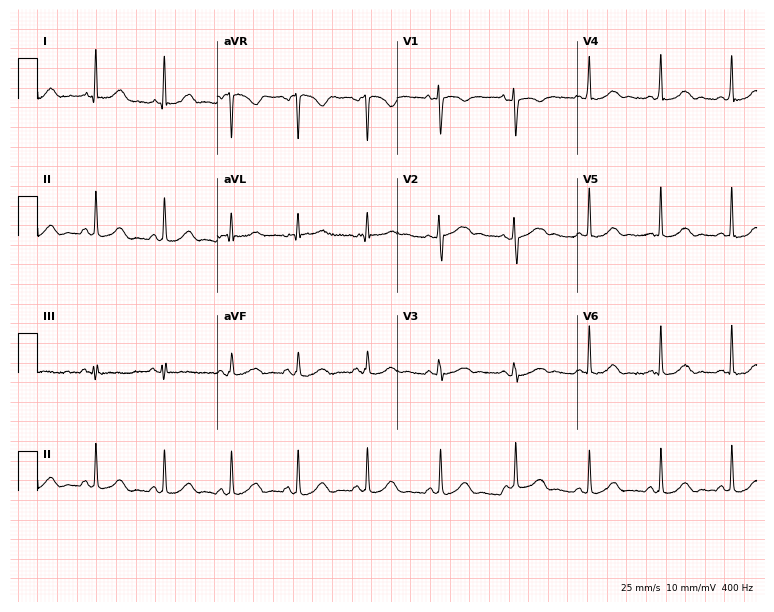
Electrocardiogram (7.3-second recording at 400 Hz), a 51-year-old woman. Of the six screened findings (first-degree AV block, right bundle branch block, left bundle branch block, sinus bradycardia, atrial fibrillation, sinus tachycardia), none is recorded.